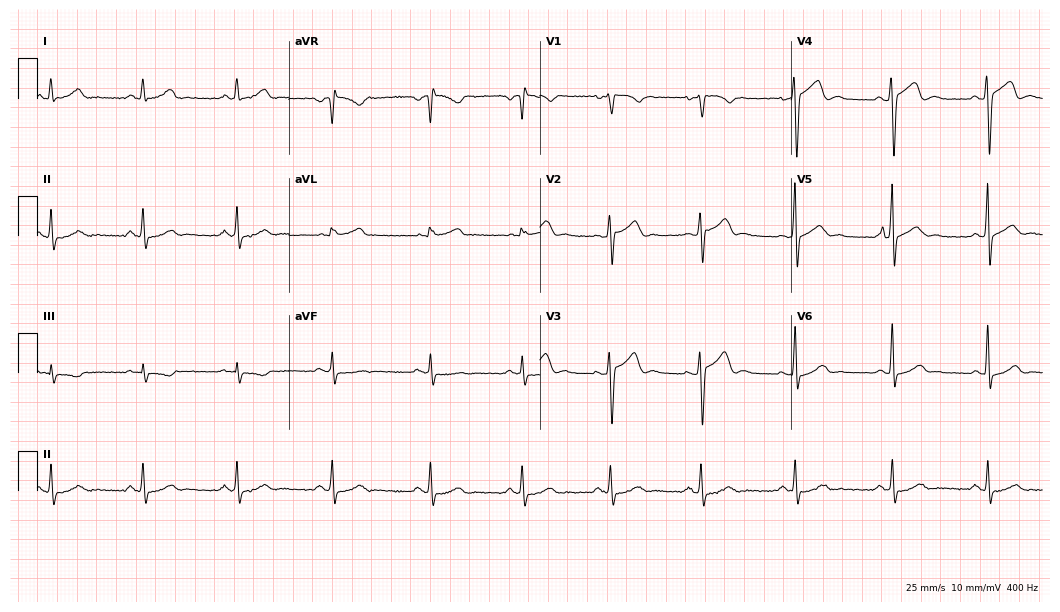
ECG (10.2-second recording at 400 Hz) — a man, 31 years old. Labelled as a normal ECG.